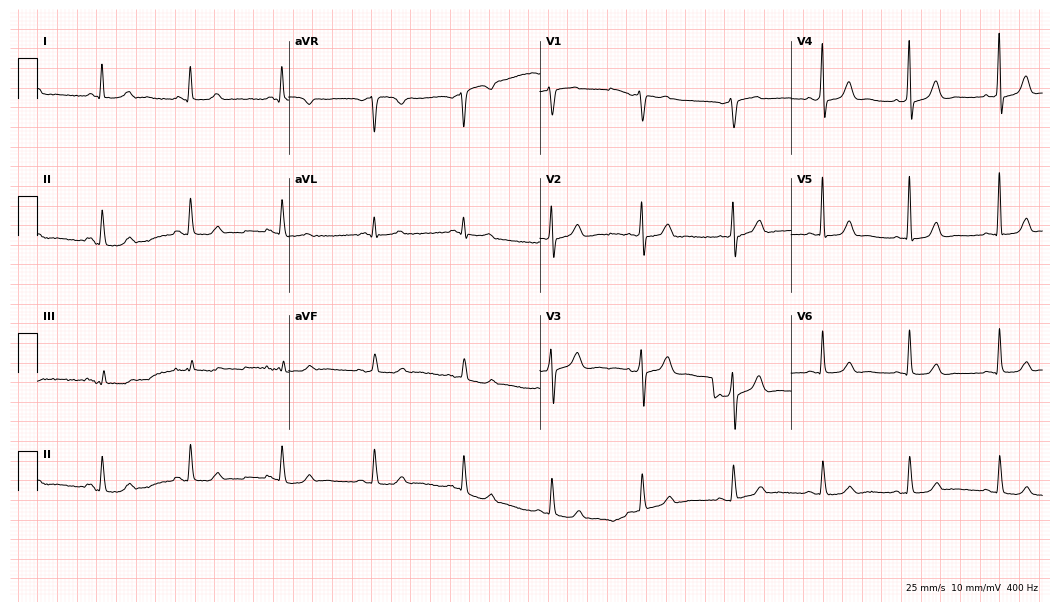
12-lead ECG from a female, 61 years old (10.2-second recording at 400 Hz). Recorded interpretation: within normal limits.